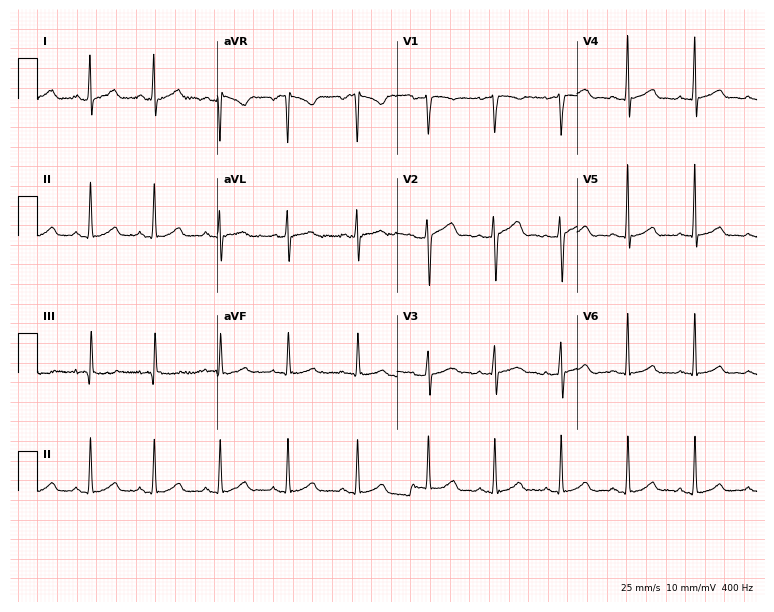
ECG — a 33-year-old female. Labelled as a normal ECG.